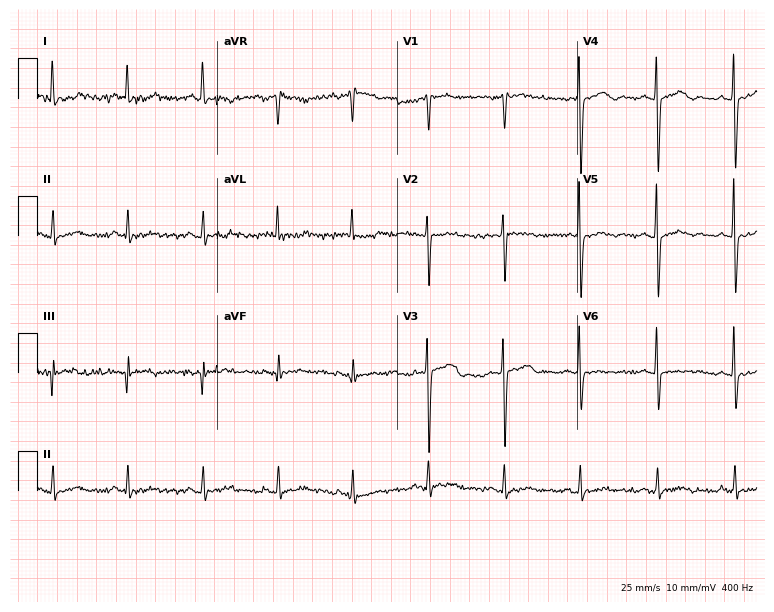
Resting 12-lead electrocardiogram (7.3-second recording at 400 Hz). Patient: a woman, 54 years old. None of these six findings is recorded: first-degree AV block, right bundle branch block, left bundle branch block, sinus bradycardia, atrial fibrillation, sinus tachycardia. Other findings, if any, are not listed.